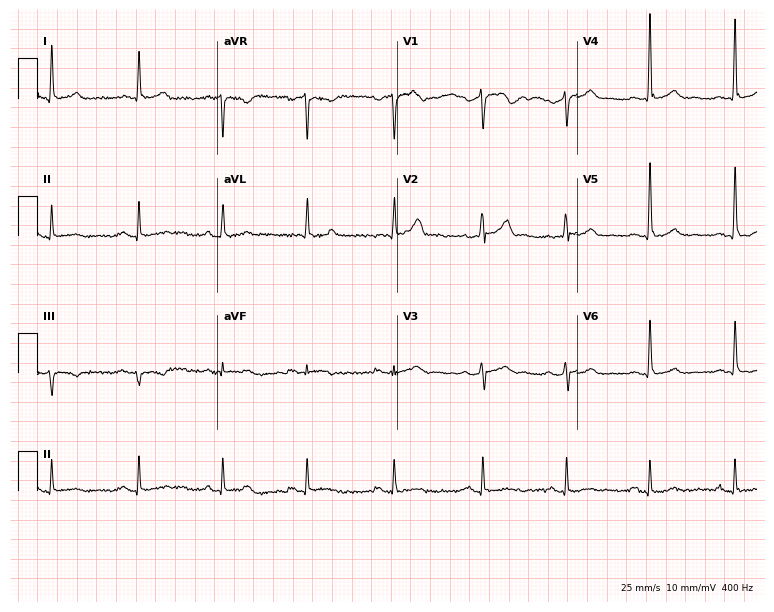
Standard 12-lead ECG recorded from a 44-year-old man. Read as a normal ECG.